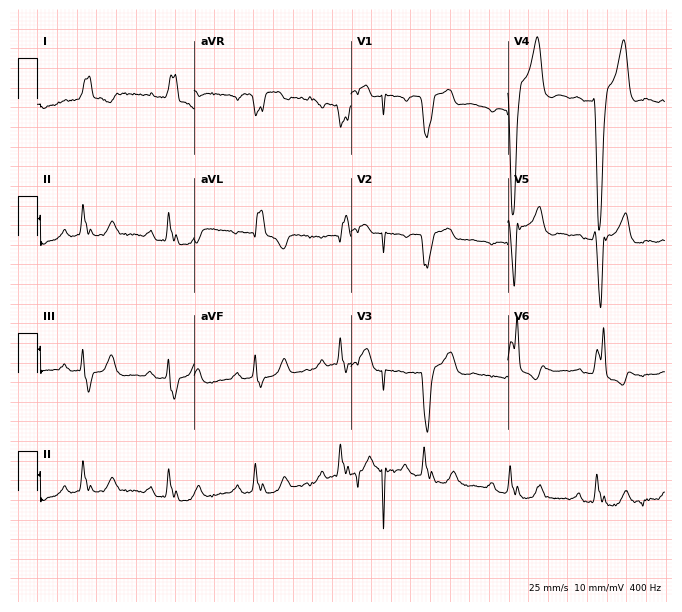
ECG (6.4-second recording at 400 Hz) — a 75-year-old male patient. Screened for six findings — first-degree AV block, right bundle branch block, left bundle branch block, sinus bradycardia, atrial fibrillation, sinus tachycardia — none is recorded. Other findings, if any, are not listed.